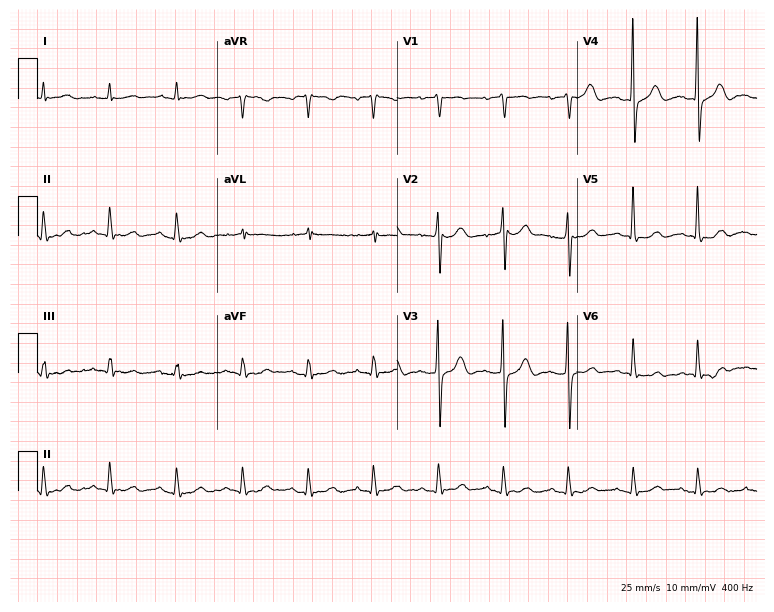
12-lead ECG (7.3-second recording at 400 Hz) from a male patient, 81 years old. Labelled as a normal ECG.